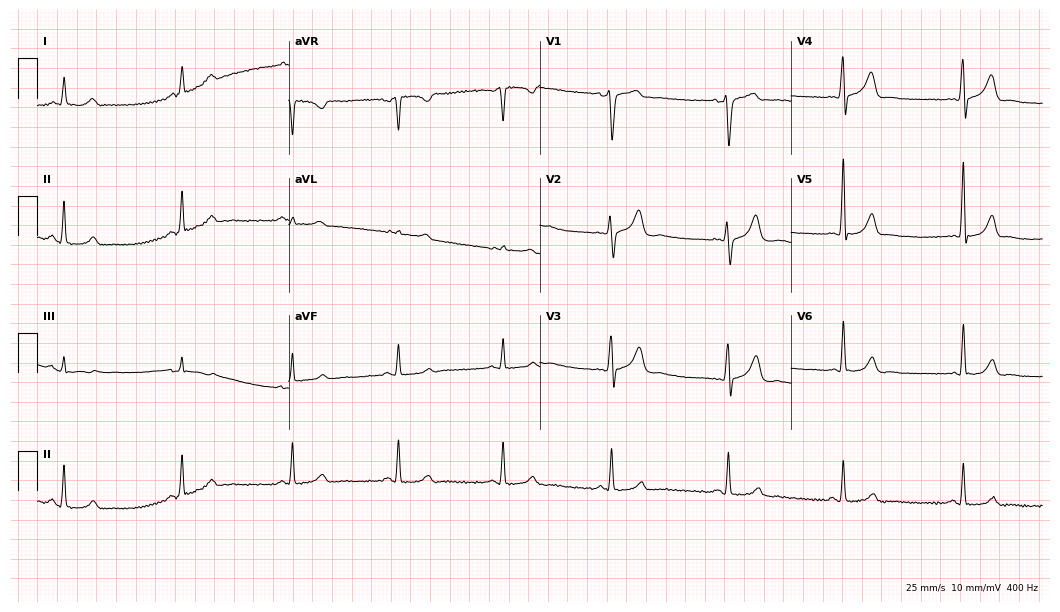
12-lead ECG from a female, 39 years old (10.2-second recording at 400 Hz). Recorded interpretation: within normal limits.